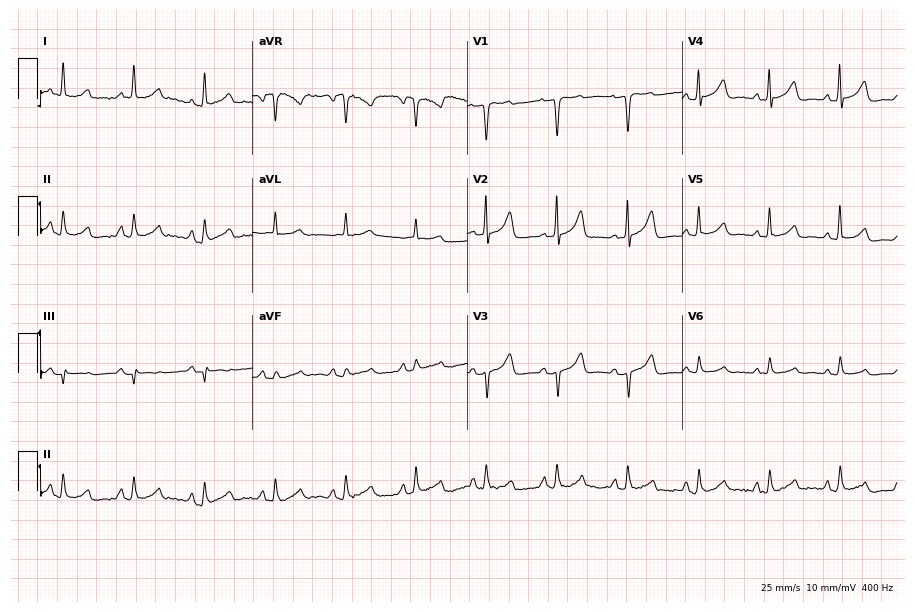
ECG (8.8-second recording at 400 Hz) — a woman, 83 years old. Labelled as a normal ECG.